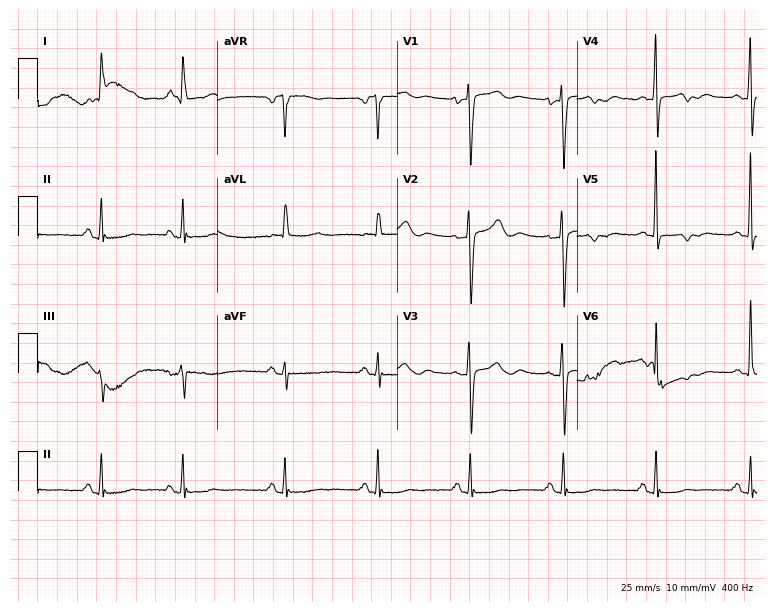
Resting 12-lead electrocardiogram (7.3-second recording at 400 Hz). Patient: a 62-year-old female. None of these six findings is recorded: first-degree AV block, right bundle branch block, left bundle branch block, sinus bradycardia, atrial fibrillation, sinus tachycardia.